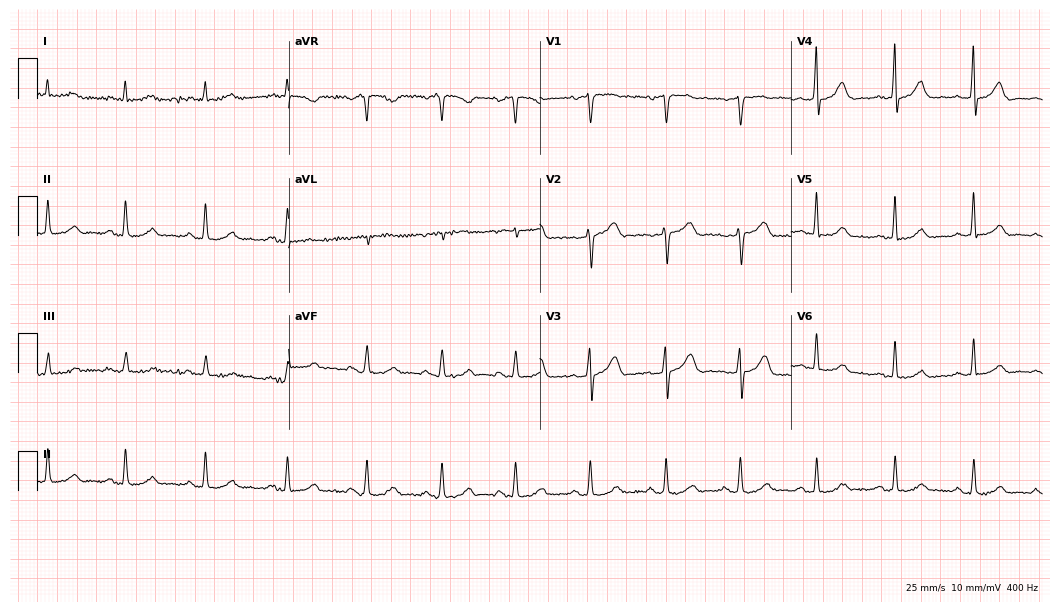
Standard 12-lead ECG recorded from a 72-year-old man (10.2-second recording at 400 Hz). Read as a normal ECG.